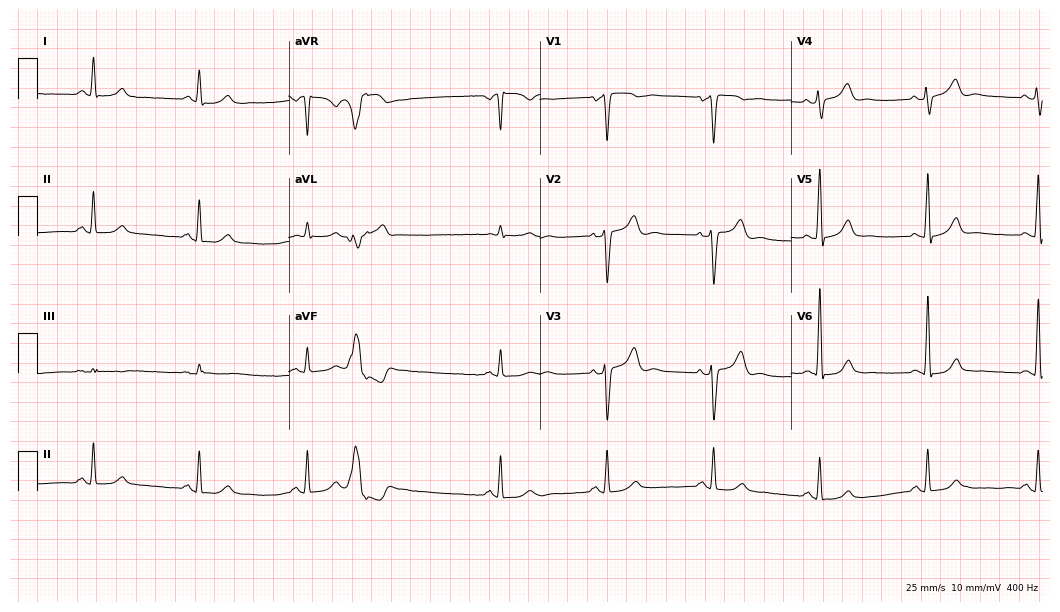
12-lead ECG from a man, 65 years old. No first-degree AV block, right bundle branch block (RBBB), left bundle branch block (LBBB), sinus bradycardia, atrial fibrillation (AF) or sinus tachycardia recorded for this tracing. Other findings, if any, are not listed.